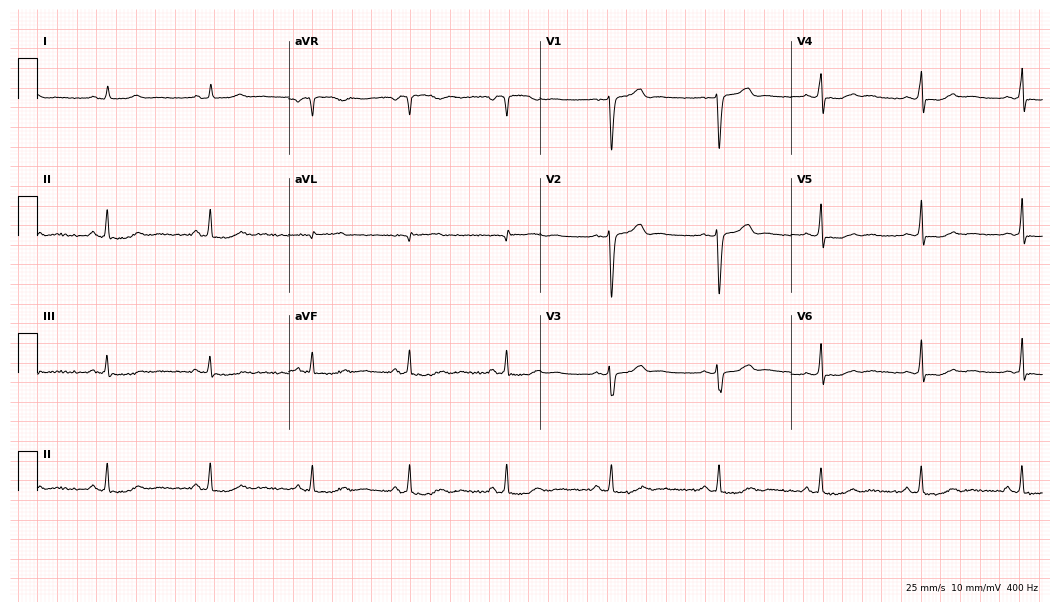
Standard 12-lead ECG recorded from a 44-year-old female patient. None of these six findings is recorded: first-degree AV block, right bundle branch block, left bundle branch block, sinus bradycardia, atrial fibrillation, sinus tachycardia. Other findings, if any, are not listed.